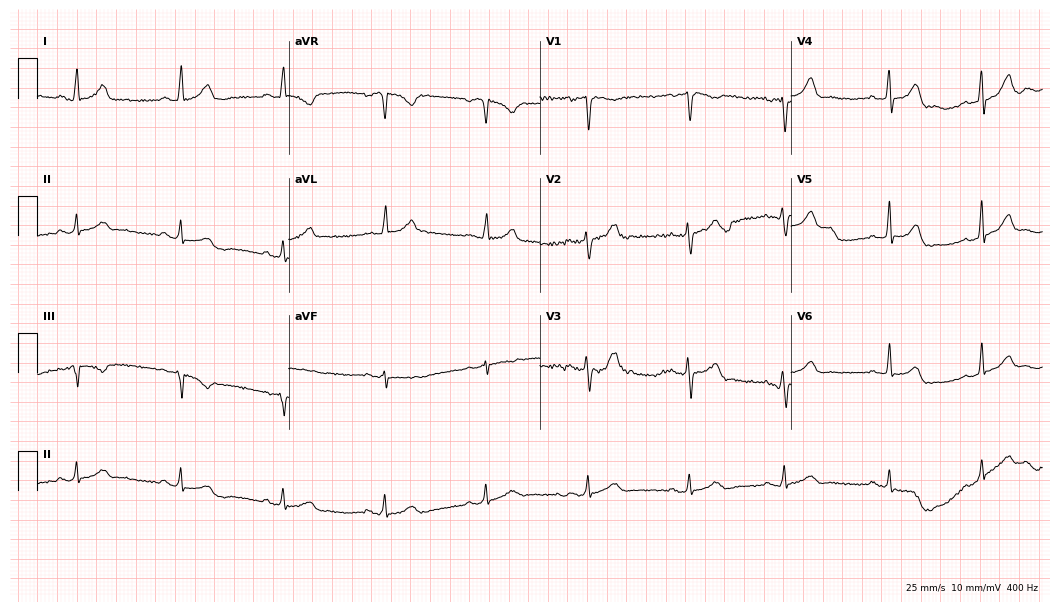
Resting 12-lead electrocardiogram. Patient: a 45-year-old man. Read as a normal ECG.